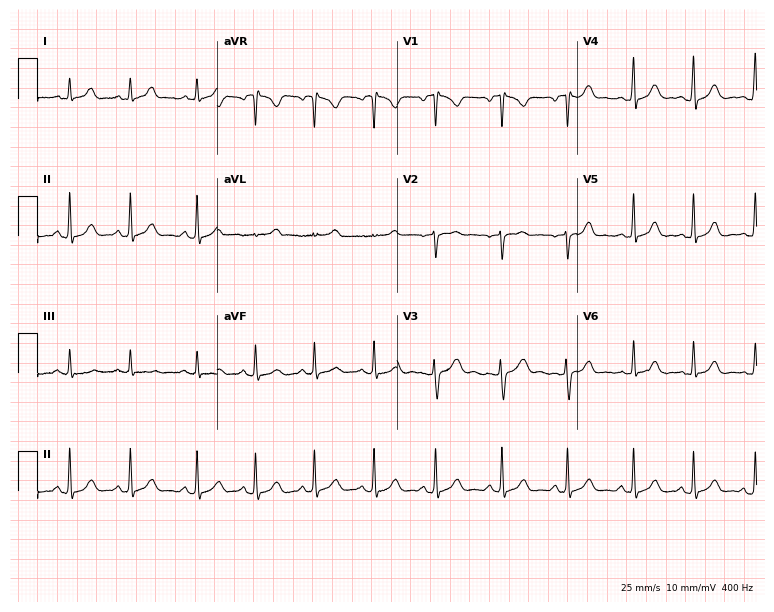
Electrocardiogram, a woman, 26 years old. Of the six screened findings (first-degree AV block, right bundle branch block, left bundle branch block, sinus bradycardia, atrial fibrillation, sinus tachycardia), none is recorded. Findings outside these six are not listed.